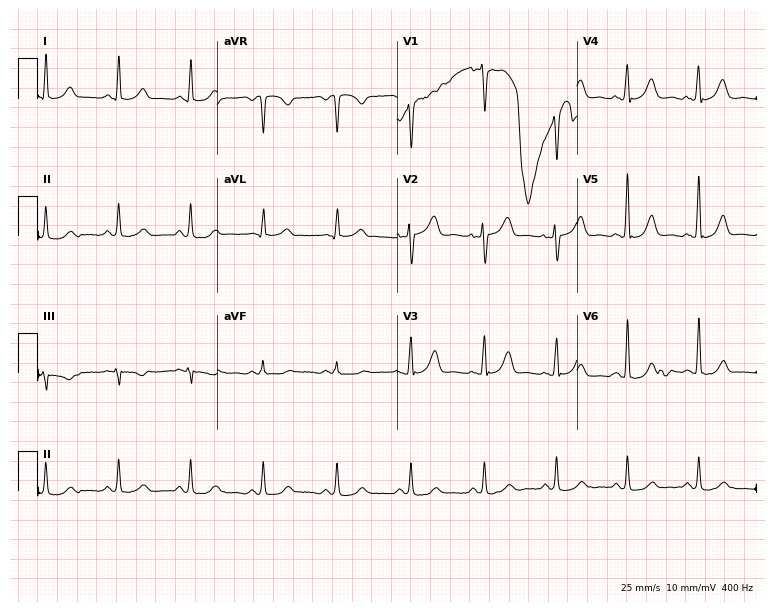
12-lead ECG (7.3-second recording at 400 Hz) from a female patient, 61 years old. Screened for six findings — first-degree AV block, right bundle branch block, left bundle branch block, sinus bradycardia, atrial fibrillation, sinus tachycardia — none is recorded. Only these six findings were labelled.